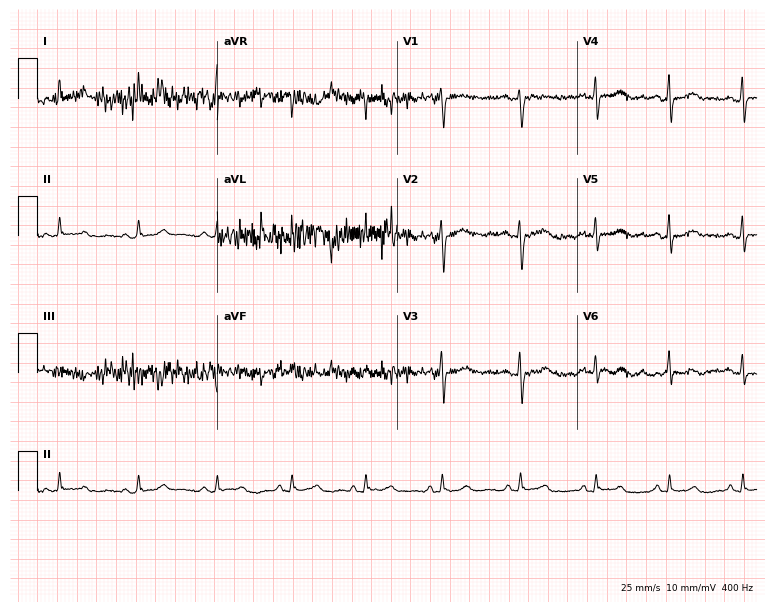
Resting 12-lead electrocardiogram. Patient: a female, 56 years old. Read as a normal ECG.